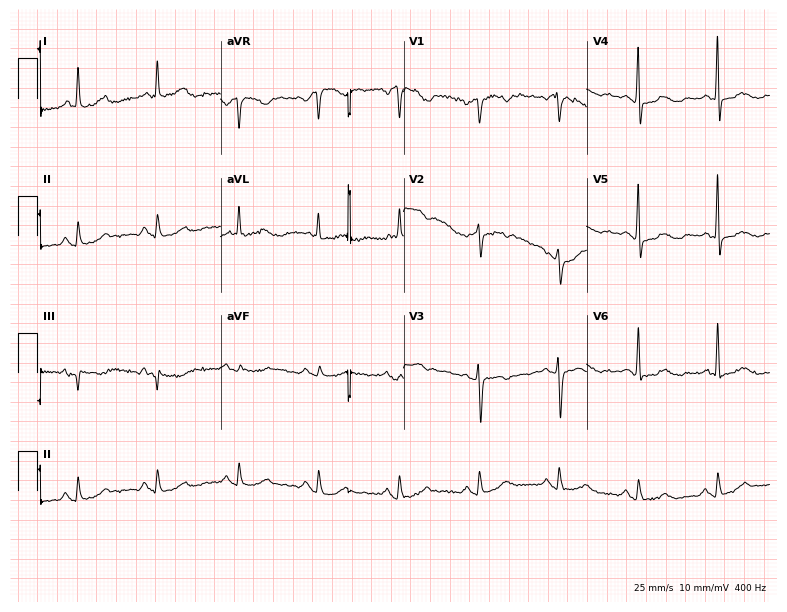
Standard 12-lead ECG recorded from a female, 79 years old. None of these six findings is recorded: first-degree AV block, right bundle branch block, left bundle branch block, sinus bradycardia, atrial fibrillation, sinus tachycardia. Other findings, if any, are not listed.